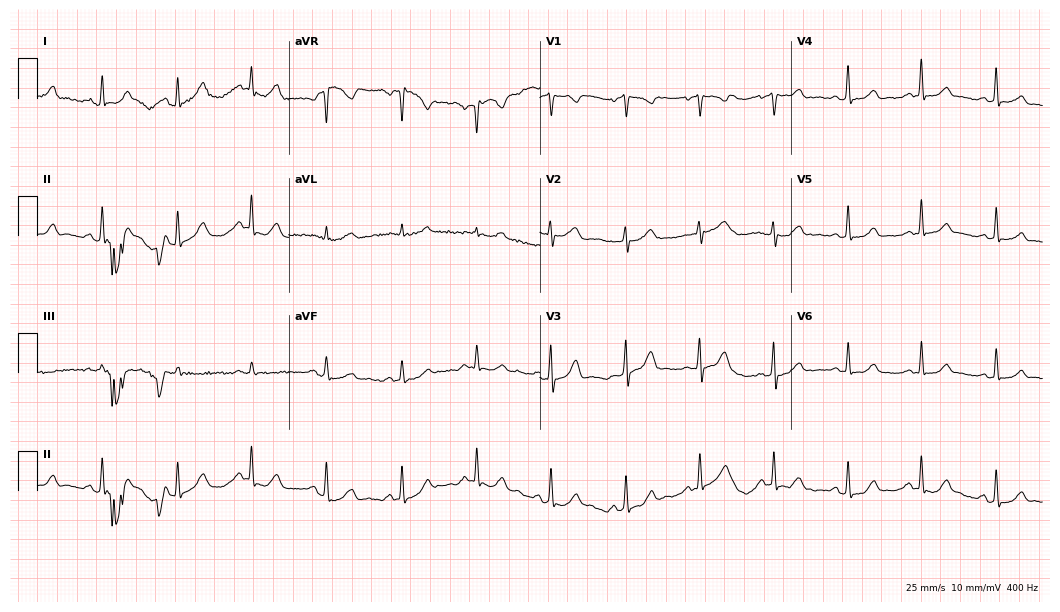
12-lead ECG from a female, 44 years old. Recorded interpretation: within normal limits.